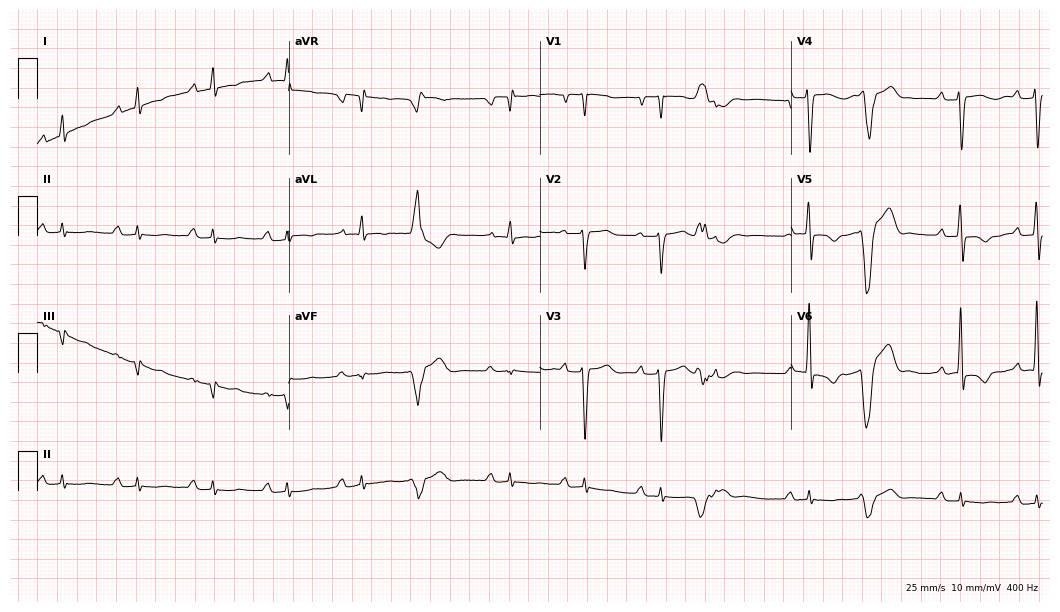
Electrocardiogram (10.2-second recording at 400 Hz), a man, 61 years old. Interpretation includes first-degree AV block.